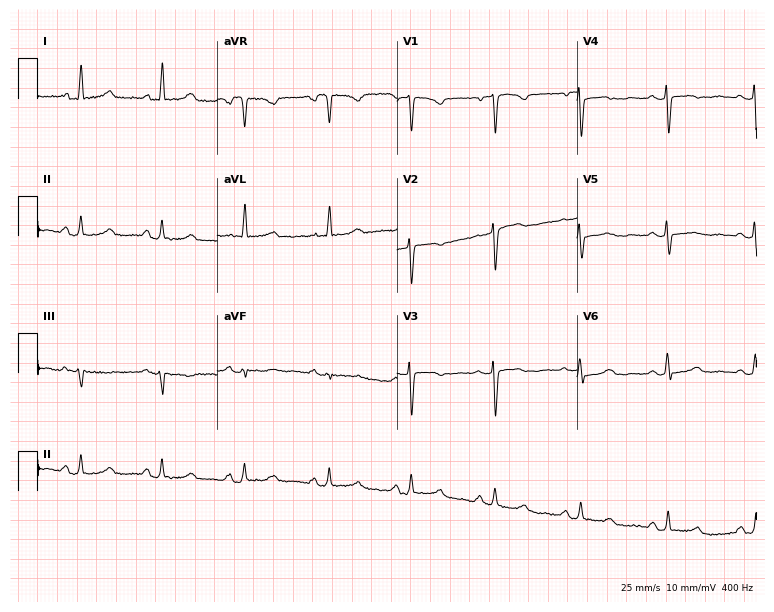
12-lead ECG from a female patient, 46 years old (7.3-second recording at 400 Hz). No first-degree AV block, right bundle branch block, left bundle branch block, sinus bradycardia, atrial fibrillation or sinus tachycardia recorded for this tracing. Other findings, if any, are not listed.